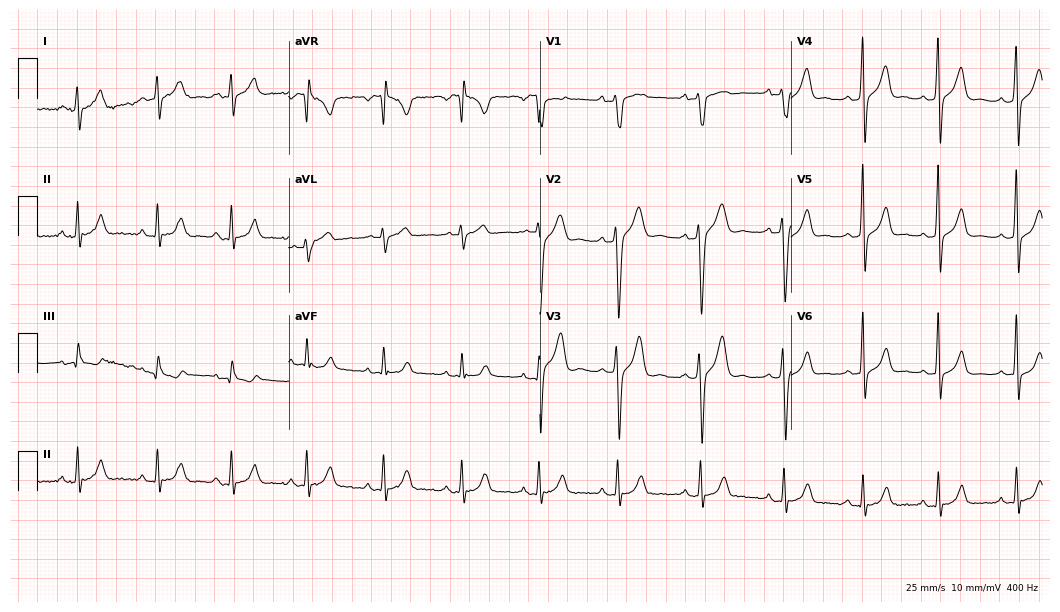
ECG — a 17-year-old male. Labelled as a normal ECG.